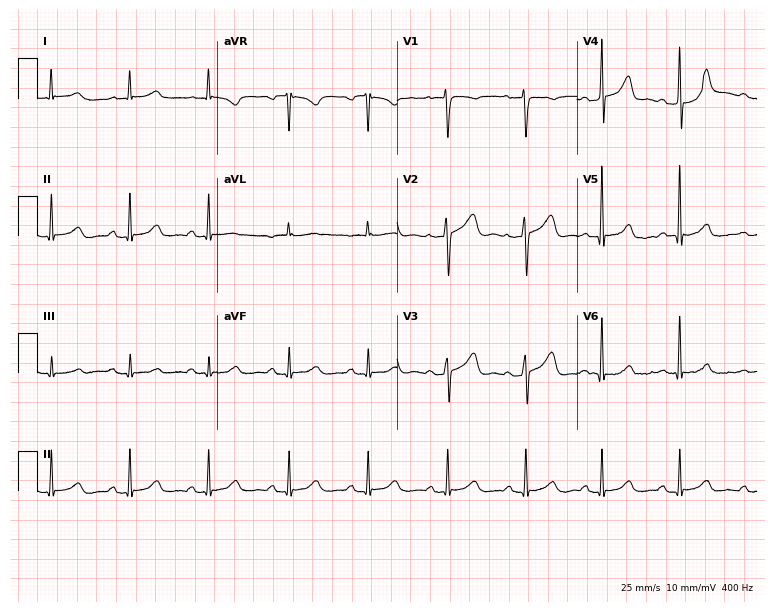
12-lead ECG from a 51-year-old female (7.3-second recording at 400 Hz). Recorded interpretation: within normal limits.